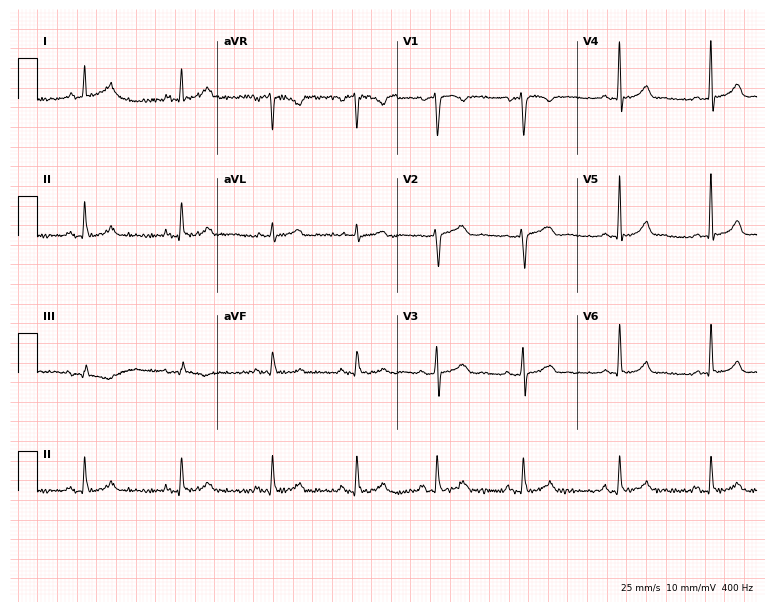
Resting 12-lead electrocardiogram (7.3-second recording at 400 Hz). Patient: a 44-year-old female. None of these six findings is recorded: first-degree AV block, right bundle branch block, left bundle branch block, sinus bradycardia, atrial fibrillation, sinus tachycardia. Only these six findings were labelled.